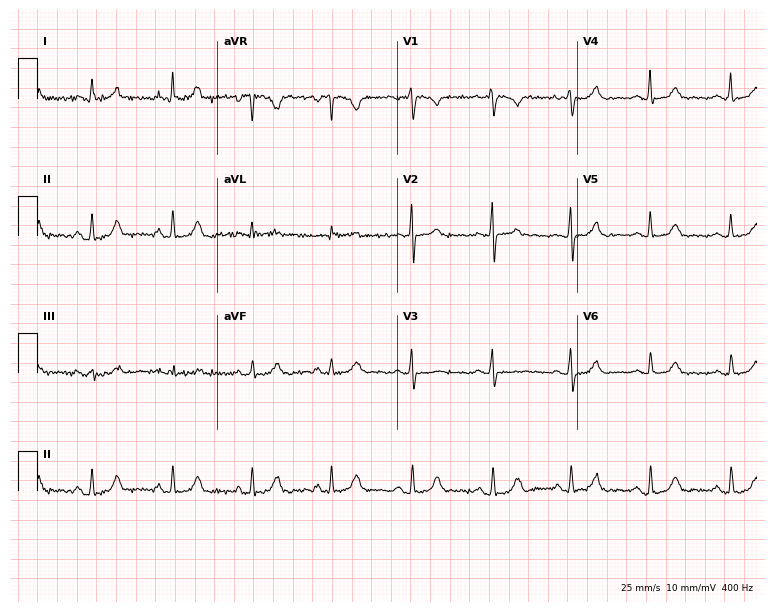
ECG — a female, 67 years old. Labelled as a normal ECG.